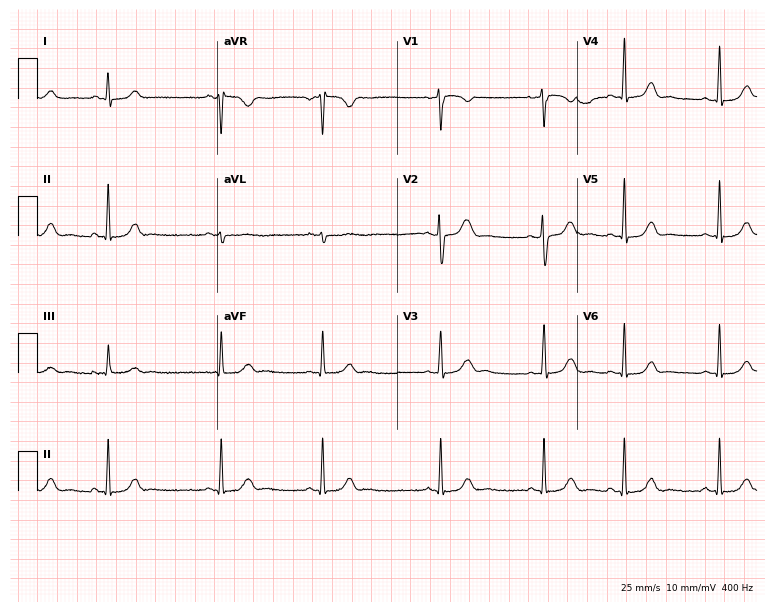
12-lead ECG (7.3-second recording at 400 Hz) from a woman, 17 years old. Labelled as a normal ECG.